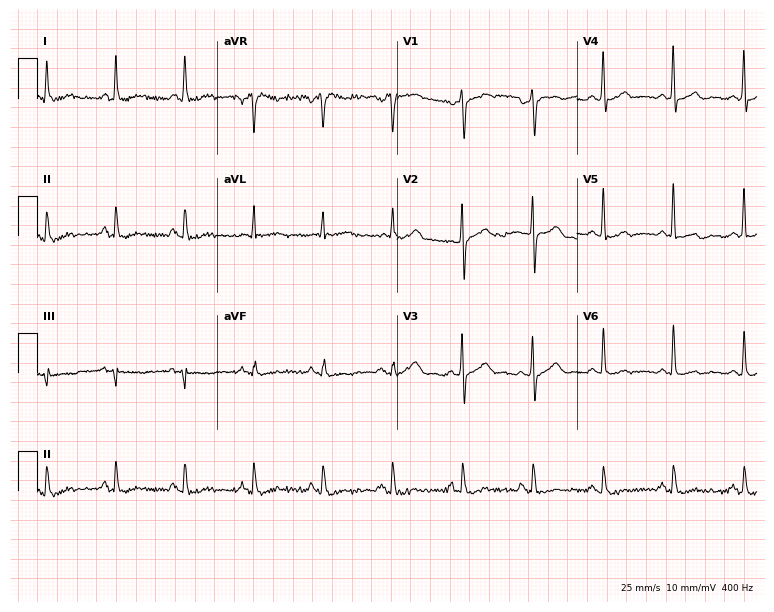
Standard 12-lead ECG recorded from a 60-year-old female. None of these six findings is recorded: first-degree AV block, right bundle branch block, left bundle branch block, sinus bradycardia, atrial fibrillation, sinus tachycardia. Only these six findings were labelled.